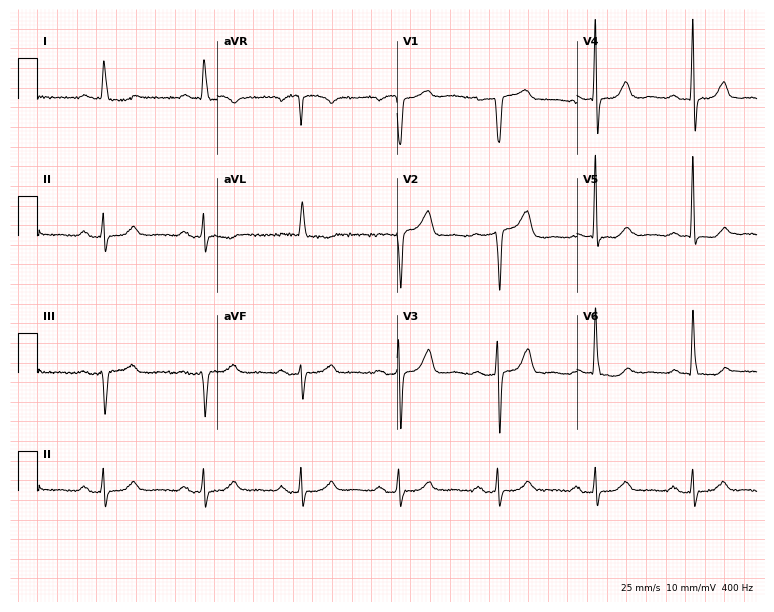
12-lead ECG from an 80-year-old male patient. Findings include first-degree AV block.